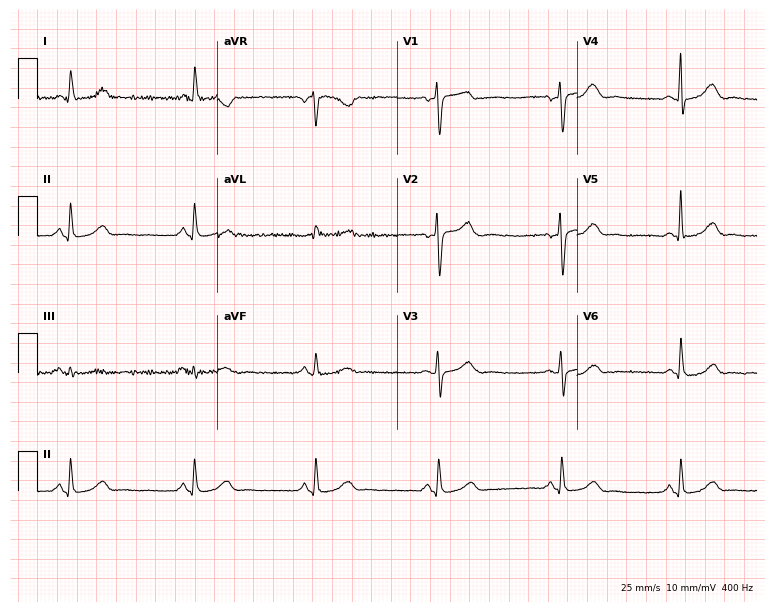
12-lead ECG (7.3-second recording at 400 Hz) from a 61-year-old female. Findings include sinus bradycardia (a sinus rate of 50 beats per minute or less).